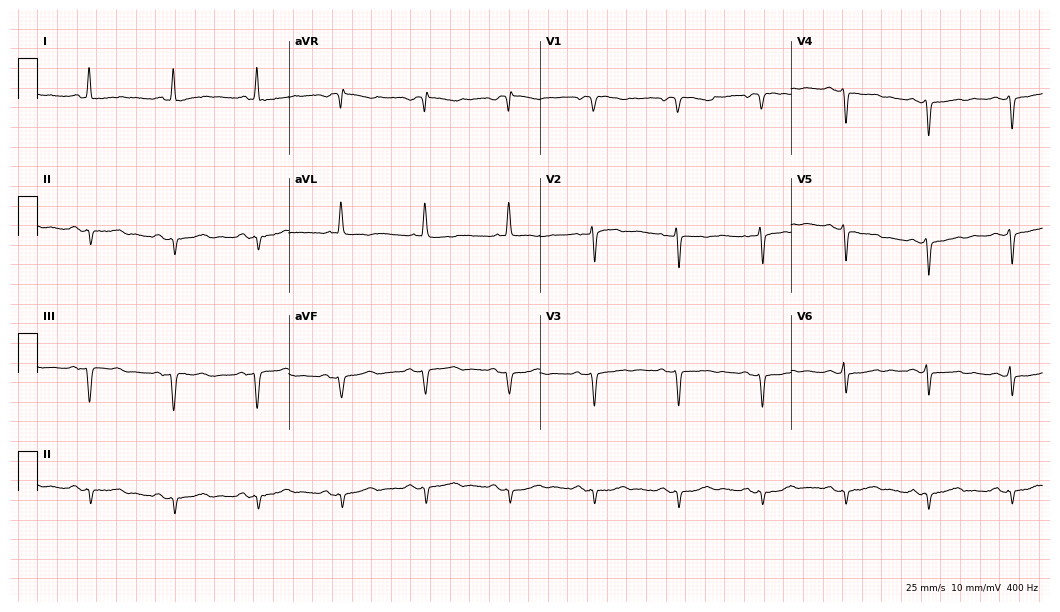
12-lead ECG from a 75-year-old woman (10.2-second recording at 400 Hz). No first-degree AV block, right bundle branch block (RBBB), left bundle branch block (LBBB), sinus bradycardia, atrial fibrillation (AF) or sinus tachycardia recorded for this tracing.